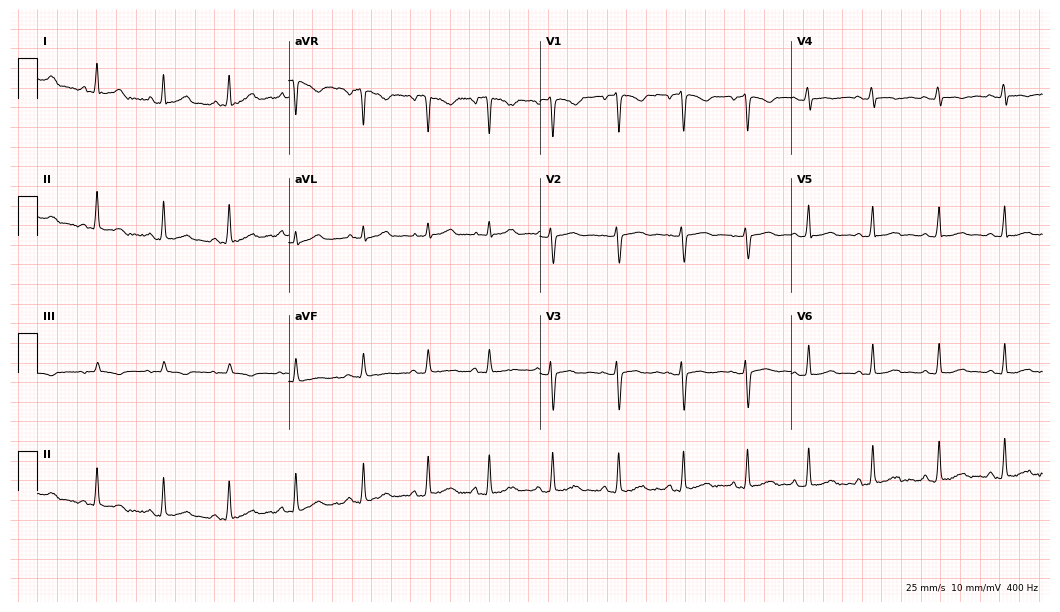
12-lead ECG from a female, 19 years old (10.2-second recording at 400 Hz). No first-degree AV block, right bundle branch block, left bundle branch block, sinus bradycardia, atrial fibrillation or sinus tachycardia recorded for this tracing.